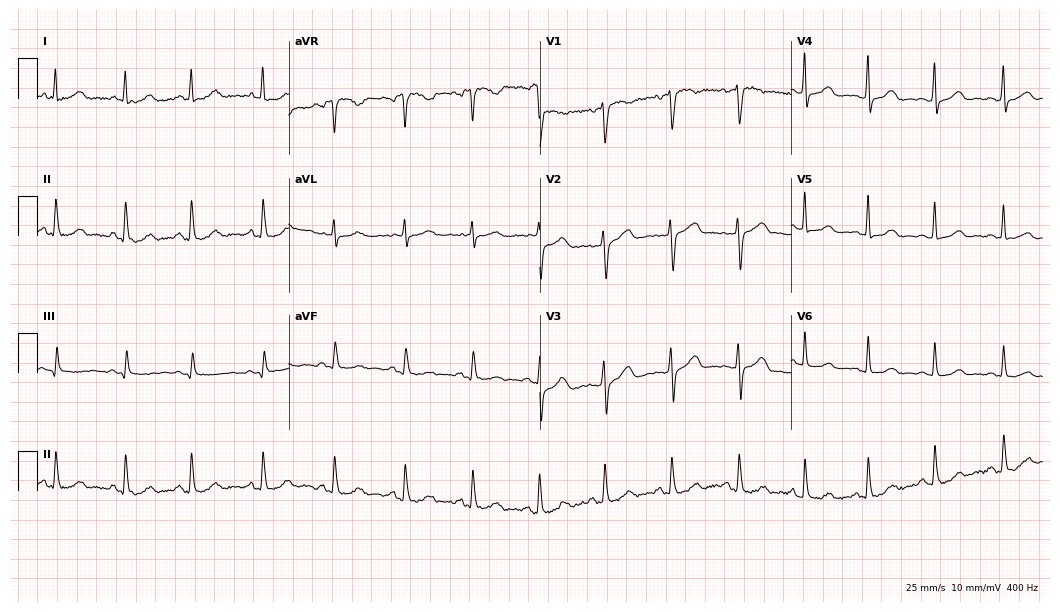
12-lead ECG (10.2-second recording at 400 Hz) from a female patient, 35 years old. Labelled as a normal ECG.